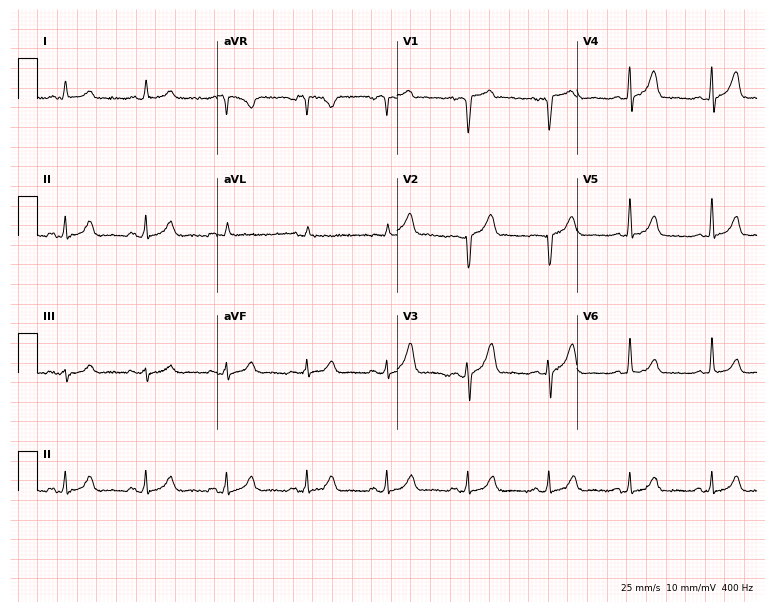
Standard 12-lead ECG recorded from a 60-year-old male patient. Read as a normal ECG.